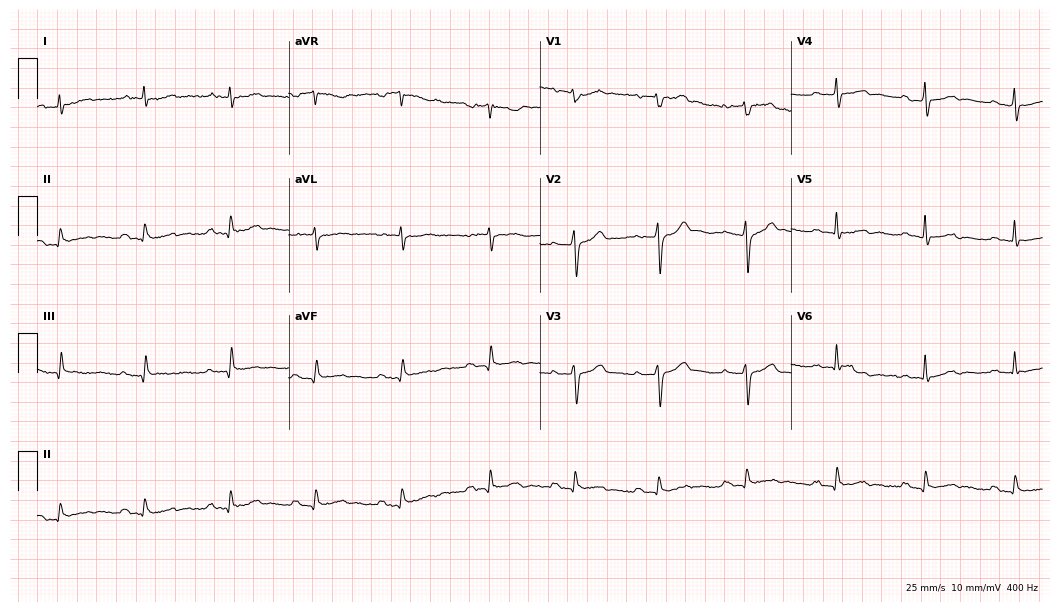
Resting 12-lead electrocardiogram (10.2-second recording at 400 Hz). Patient: a 52-year-old male. None of these six findings is recorded: first-degree AV block, right bundle branch block, left bundle branch block, sinus bradycardia, atrial fibrillation, sinus tachycardia. Findings outside these six are not listed.